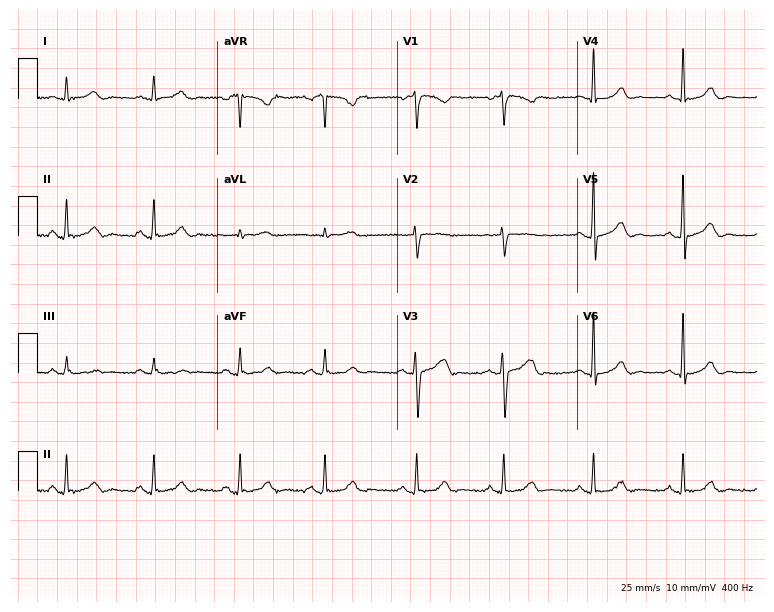
Standard 12-lead ECG recorded from a 43-year-old woman. Read as a normal ECG.